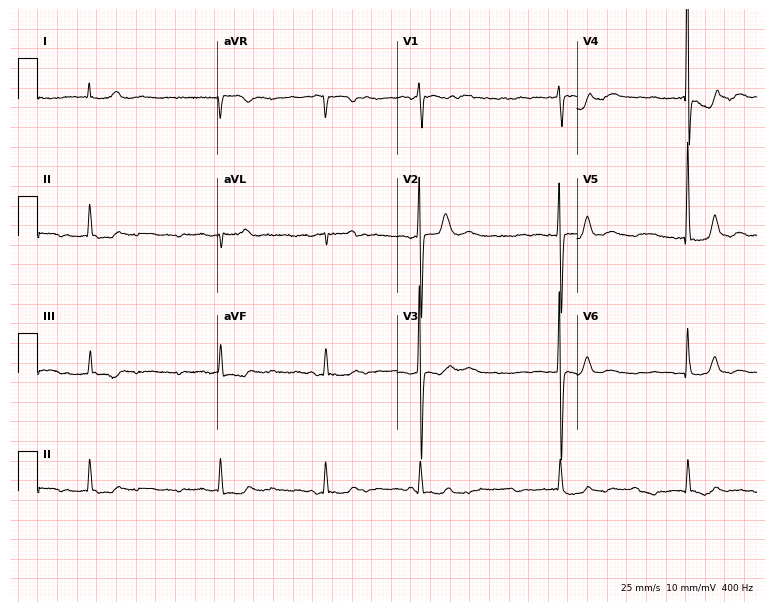
12-lead ECG from a woman, 65 years old (7.3-second recording at 400 Hz). Shows atrial fibrillation (AF).